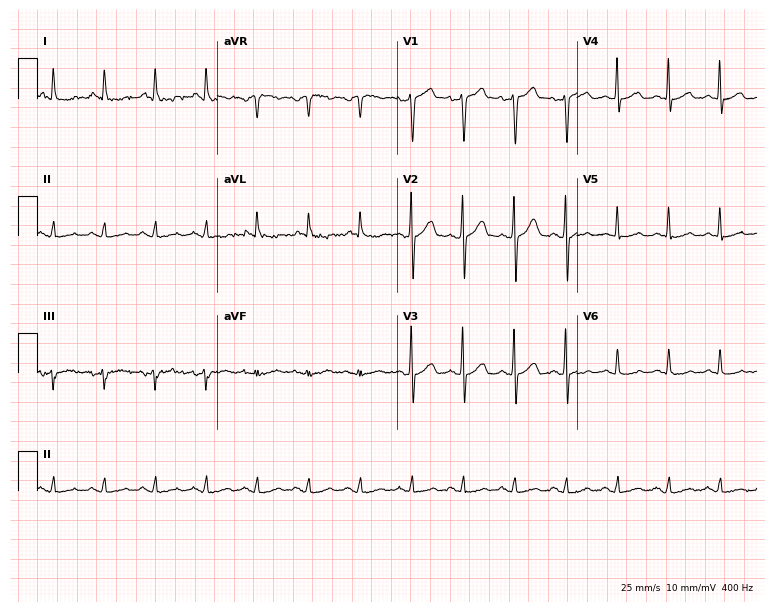
Resting 12-lead electrocardiogram. Patient: a 62-year-old male. None of these six findings is recorded: first-degree AV block, right bundle branch block, left bundle branch block, sinus bradycardia, atrial fibrillation, sinus tachycardia.